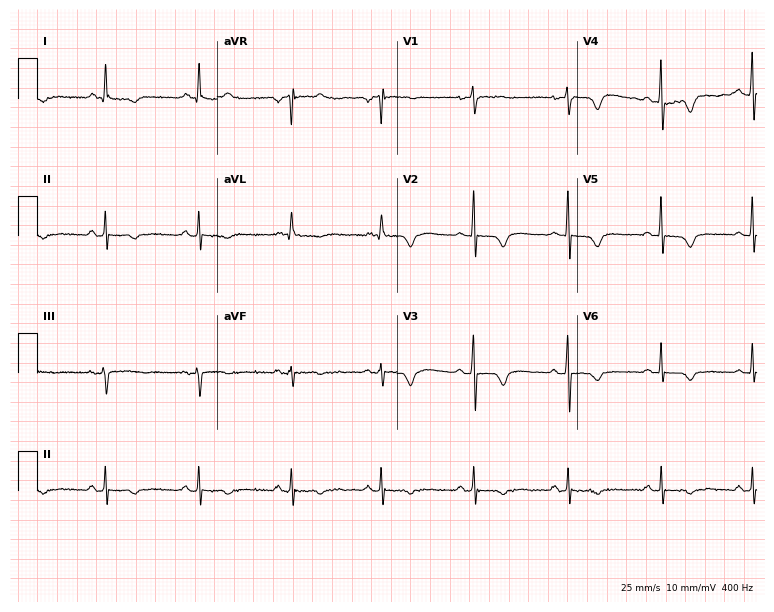
Electrocardiogram, a woman, 76 years old. Of the six screened findings (first-degree AV block, right bundle branch block (RBBB), left bundle branch block (LBBB), sinus bradycardia, atrial fibrillation (AF), sinus tachycardia), none is recorded.